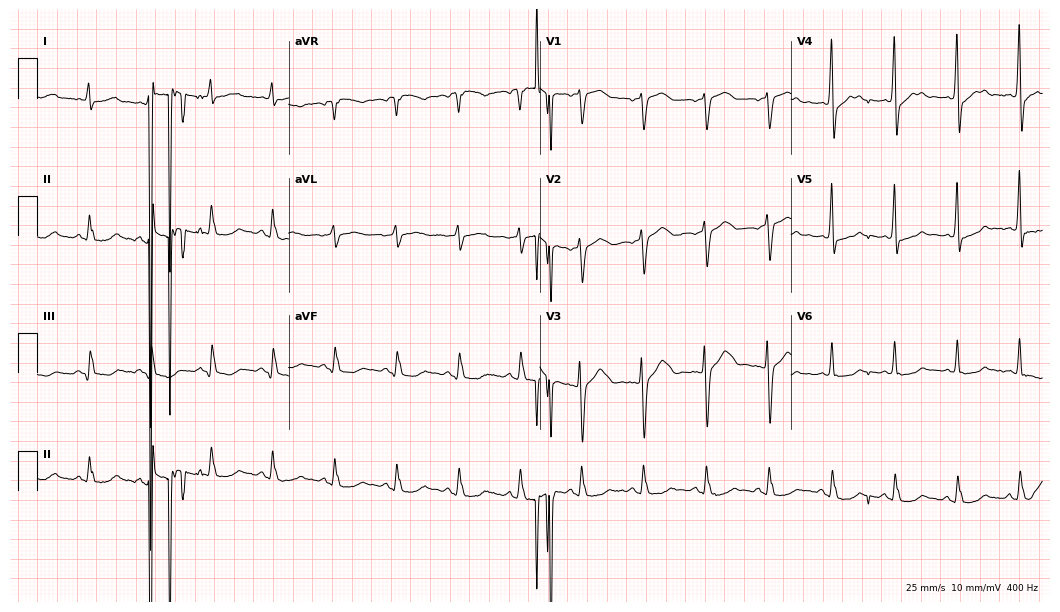
Standard 12-lead ECG recorded from an 81-year-old female patient. None of these six findings is recorded: first-degree AV block, right bundle branch block, left bundle branch block, sinus bradycardia, atrial fibrillation, sinus tachycardia. Findings outside these six are not listed.